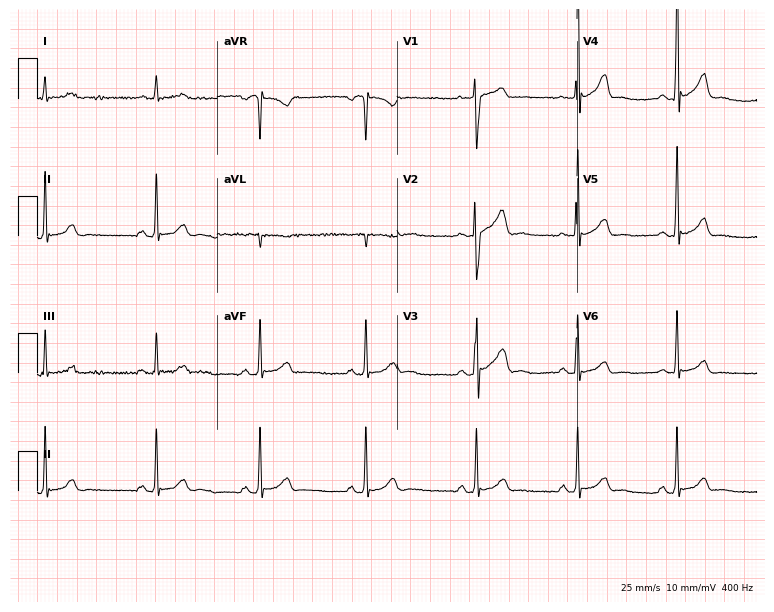
12-lead ECG (7.3-second recording at 400 Hz) from a male patient, 25 years old. Labelled as a normal ECG.